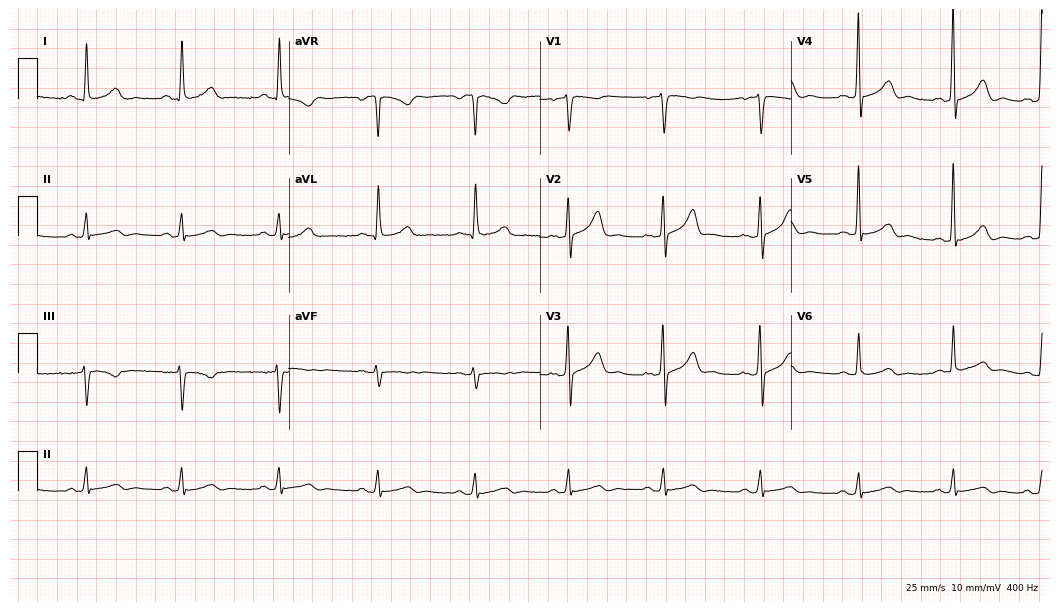
Standard 12-lead ECG recorded from a female, 21 years old (10.2-second recording at 400 Hz). Read as a normal ECG.